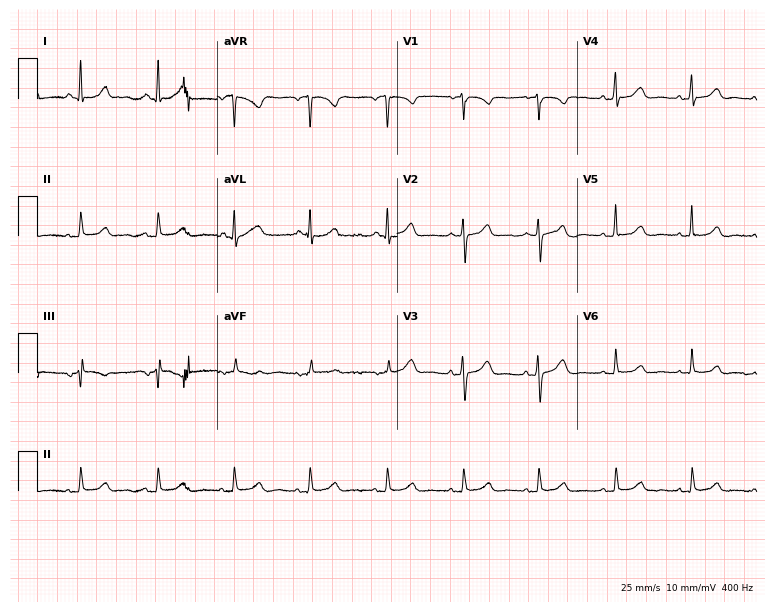
ECG — a female patient, 59 years old. Labelled as a normal ECG.